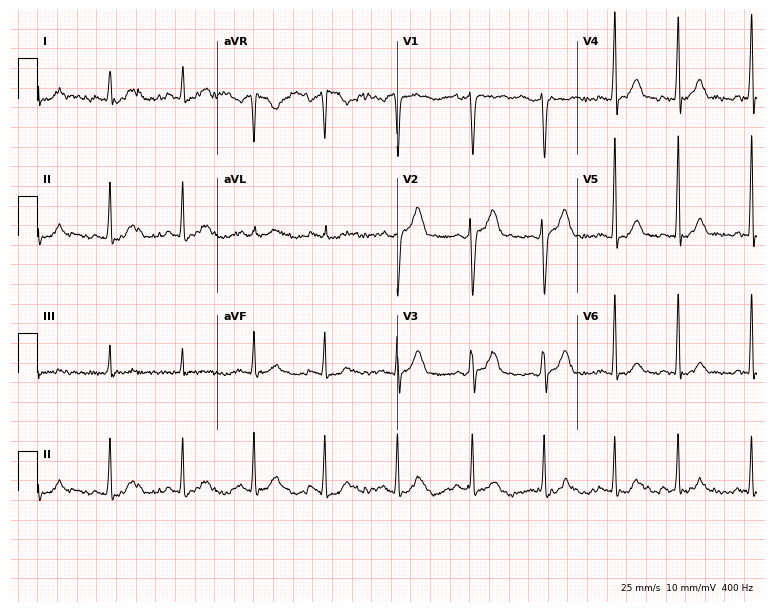
Electrocardiogram (7.3-second recording at 400 Hz), a male patient, 20 years old. Overall reading on record: normal ECG.